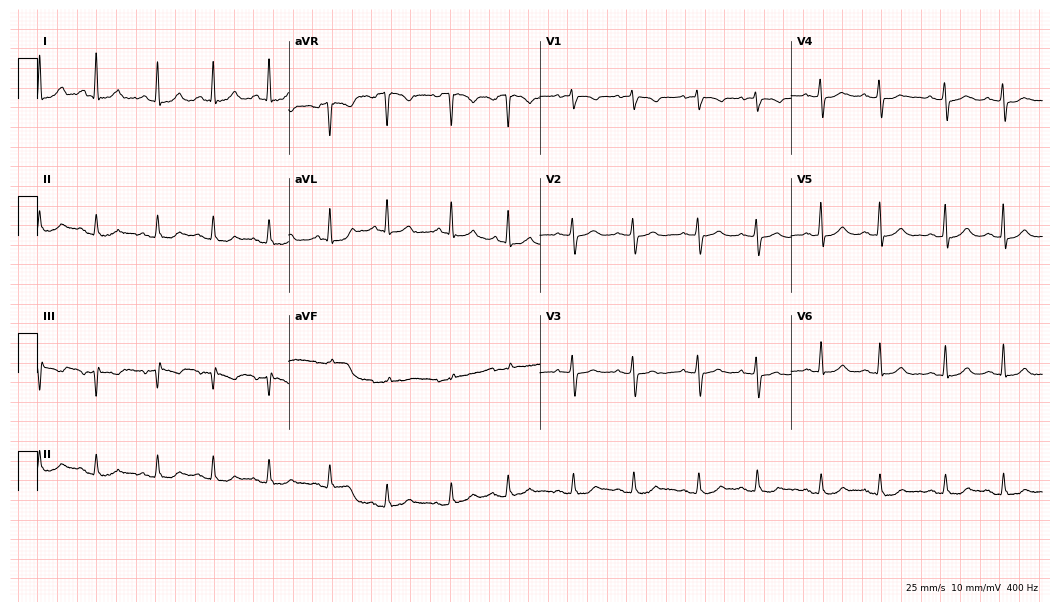
Electrocardiogram, a 67-year-old female patient. Overall reading on record: normal ECG.